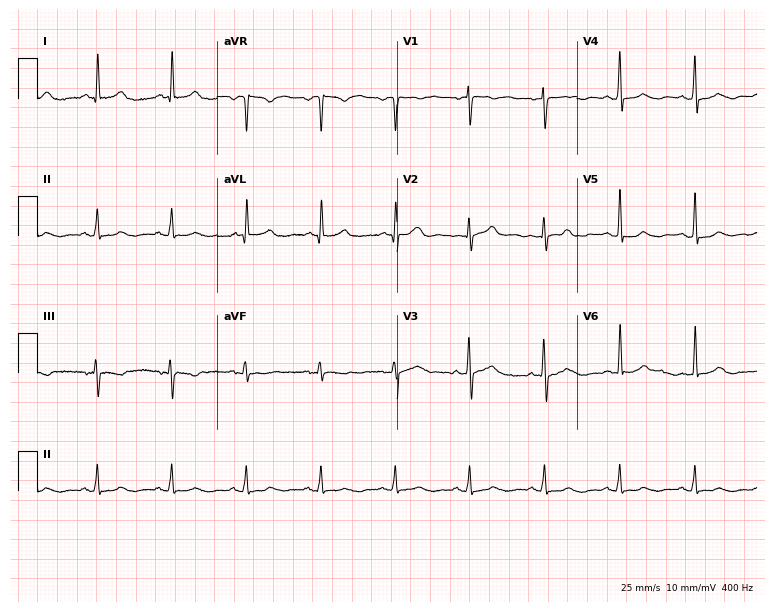
Electrocardiogram (7.3-second recording at 400 Hz), a female patient, 62 years old. Of the six screened findings (first-degree AV block, right bundle branch block, left bundle branch block, sinus bradycardia, atrial fibrillation, sinus tachycardia), none is recorded.